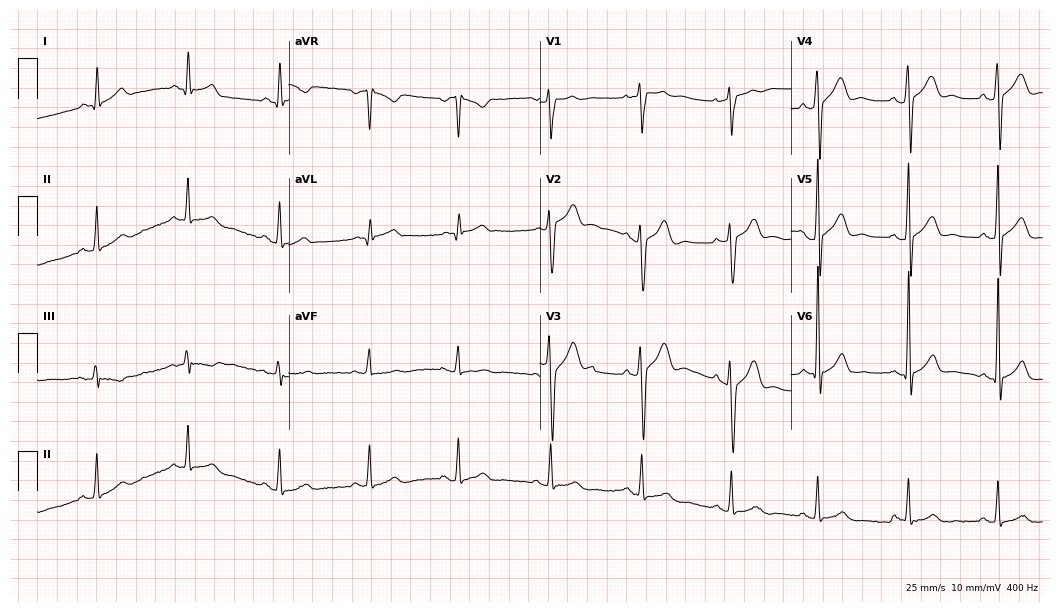
12-lead ECG from a 50-year-old man. Recorded interpretation: within normal limits.